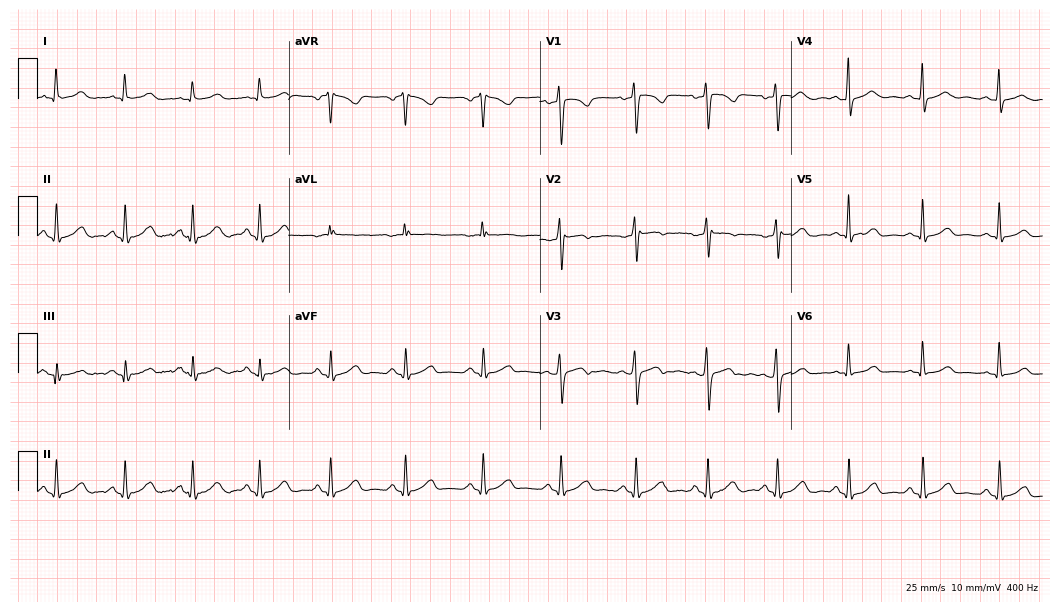
ECG (10.2-second recording at 400 Hz) — a female, 41 years old. Labelled as a normal ECG.